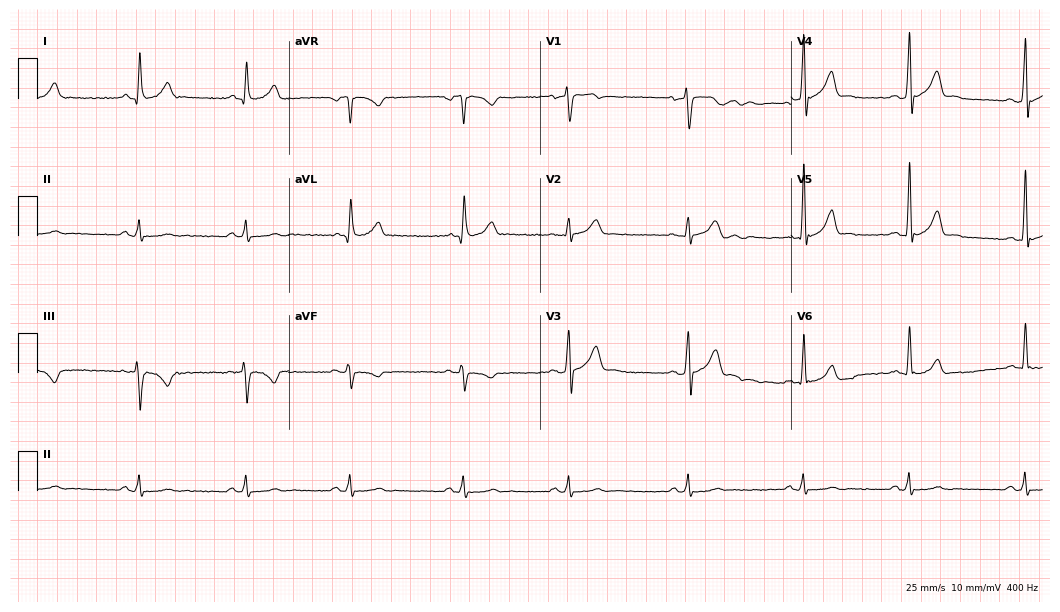
Electrocardiogram (10.2-second recording at 400 Hz), a 28-year-old male. Of the six screened findings (first-degree AV block, right bundle branch block, left bundle branch block, sinus bradycardia, atrial fibrillation, sinus tachycardia), none is recorded. Findings outside these six are not listed.